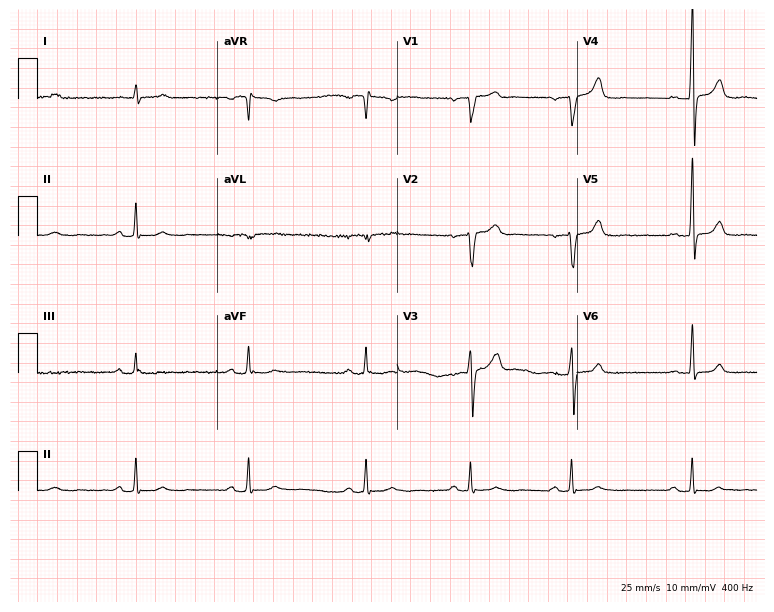
12-lead ECG from a 41-year-old male patient. Recorded interpretation: within normal limits.